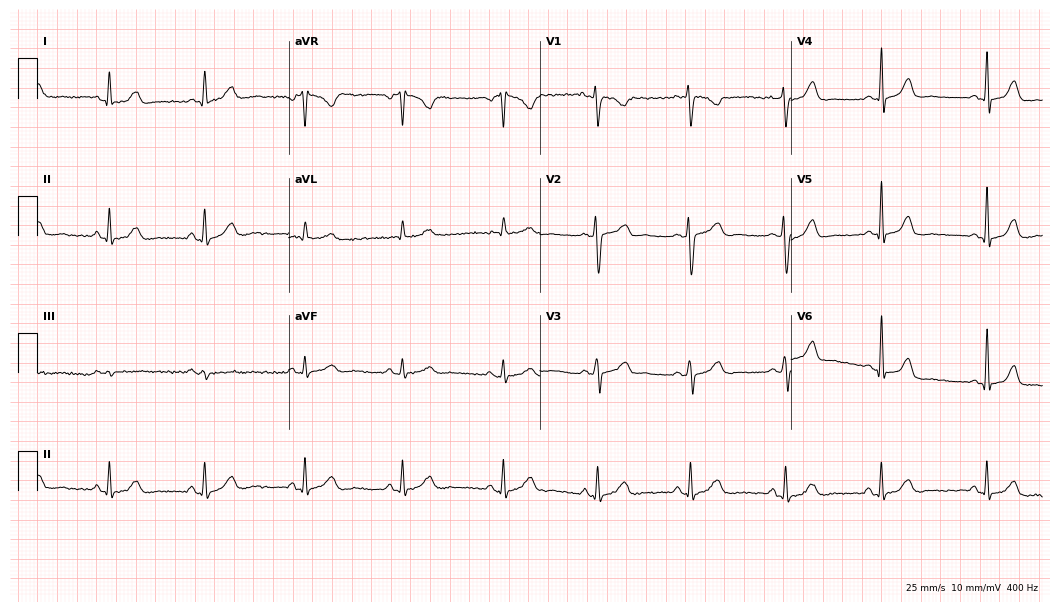
12-lead ECG from a woman, 34 years old (10.2-second recording at 400 Hz). No first-degree AV block, right bundle branch block, left bundle branch block, sinus bradycardia, atrial fibrillation or sinus tachycardia recorded for this tracing. Findings outside these six are not listed.